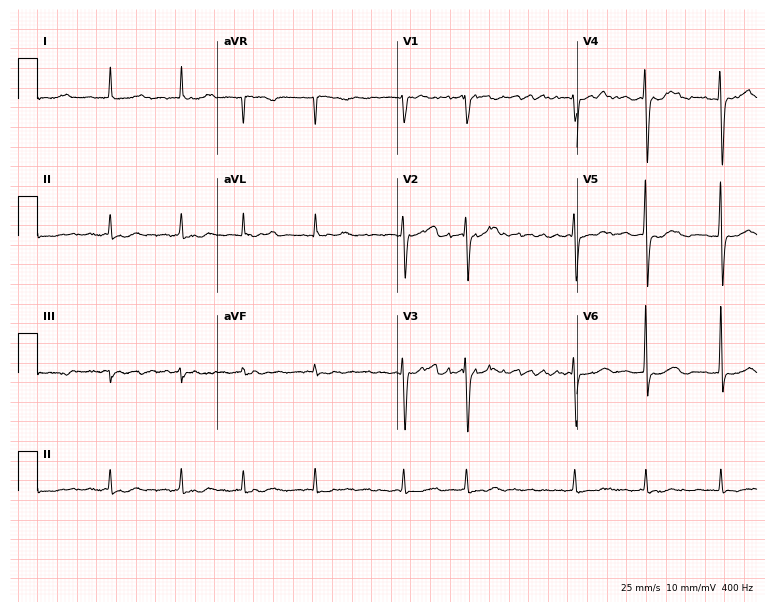
Electrocardiogram (7.3-second recording at 400 Hz), a female patient, 75 years old. Interpretation includes atrial fibrillation (AF).